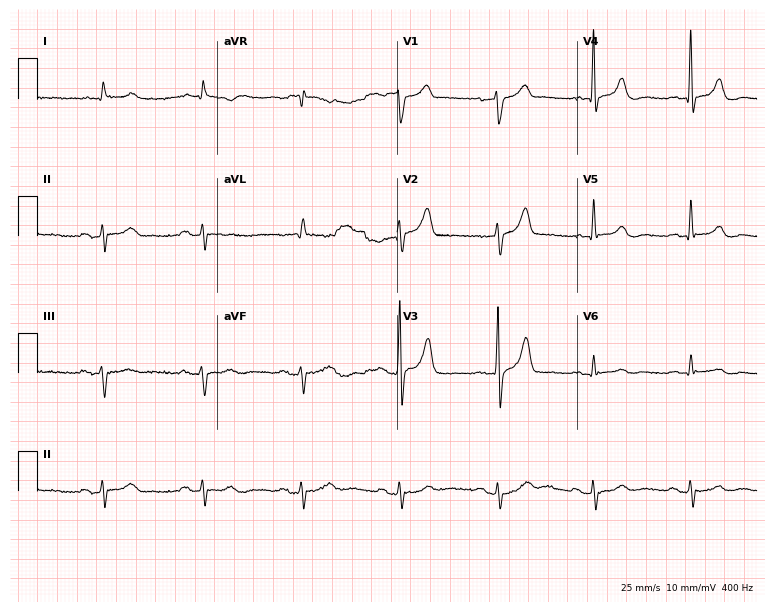
ECG — a 73-year-old man. Screened for six findings — first-degree AV block, right bundle branch block (RBBB), left bundle branch block (LBBB), sinus bradycardia, atrial fibrillation (AF), sinus tachycardia — none is recorded.